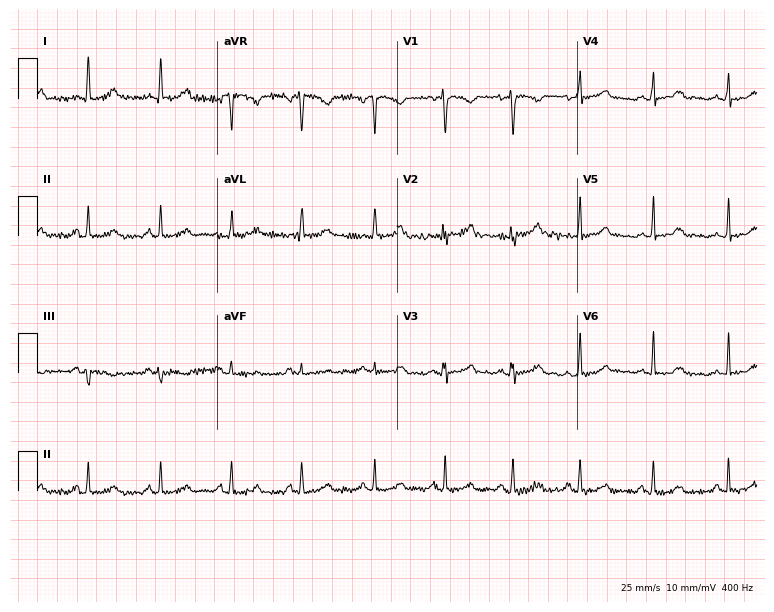
ECG — a female, 29 years old. Labelled as a normal ECG.